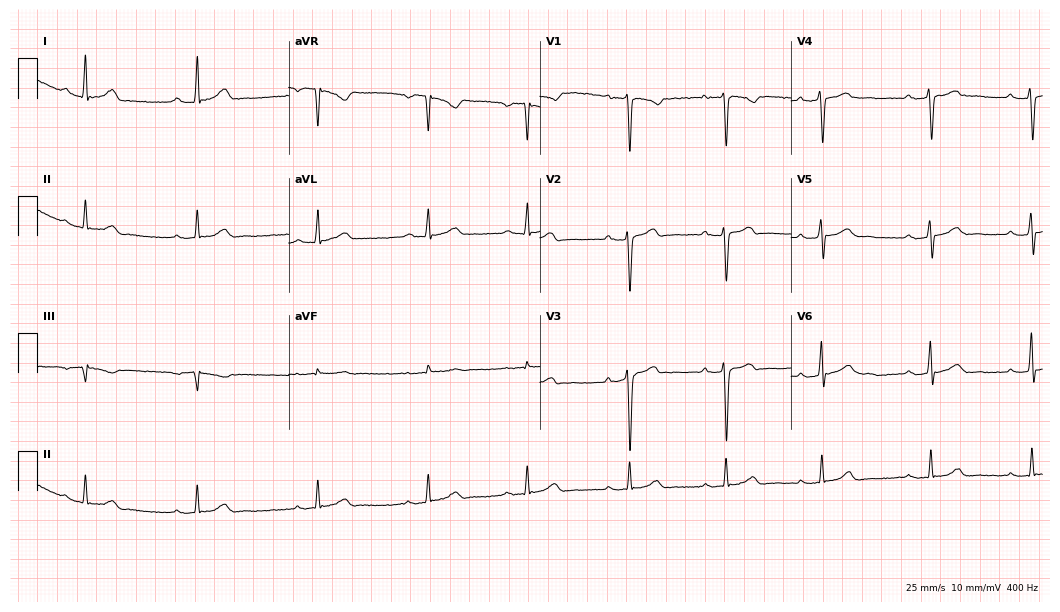
12-lead ECG (10.2-second recording at 400 Hz) from a 32-year-old man. Labelled as a normal ECG.